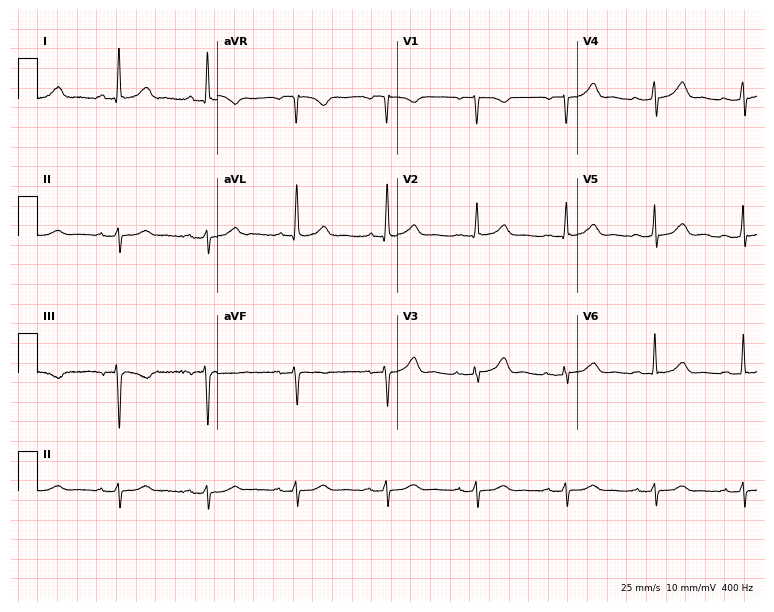
Resting 12-lead electrocardiogram. Patient: a 68-year-old woman. None of these six findings is recorded: first-degree AV block, right bundle branch block, left bundle branch block, sinus bradycardia, atrial fibrillation, sinus tachycardia.